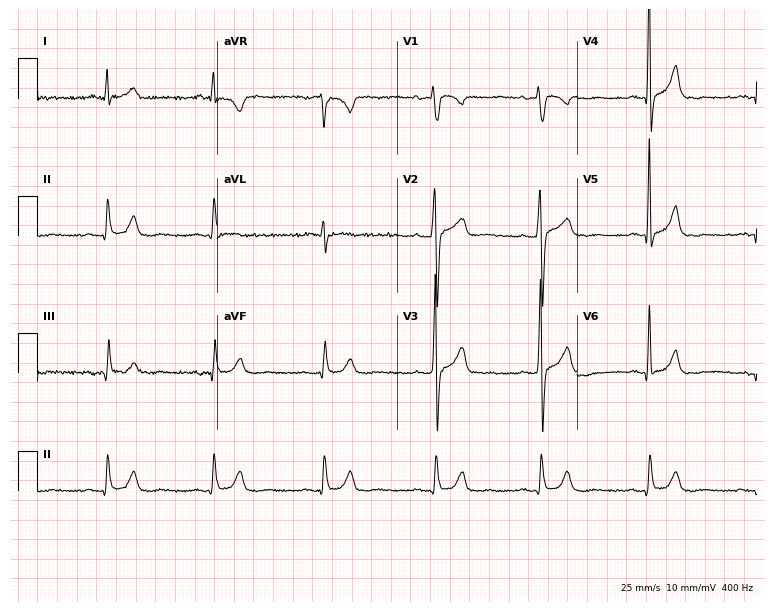
12-lead ECG from a 74-year-old male (7.3-second recording at 400 Hz). Recorded interpretation: within normal limits.